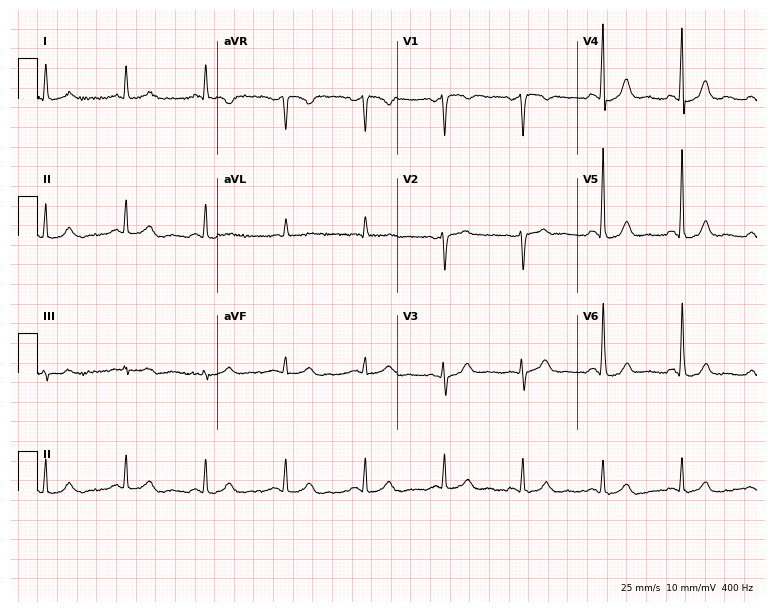
Resting 12-lead electrocardiogram. Patient: a 57-year-old female. Read as a normal ECG.